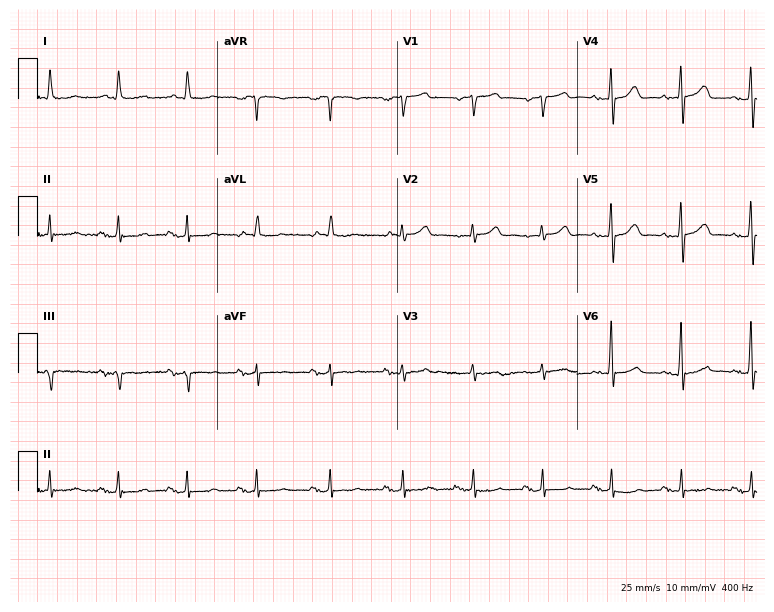
12-lead ECG from a 76-year-old male patient (7.3-second recording at 400 Hz). Recorded interpretation: within normal limits.